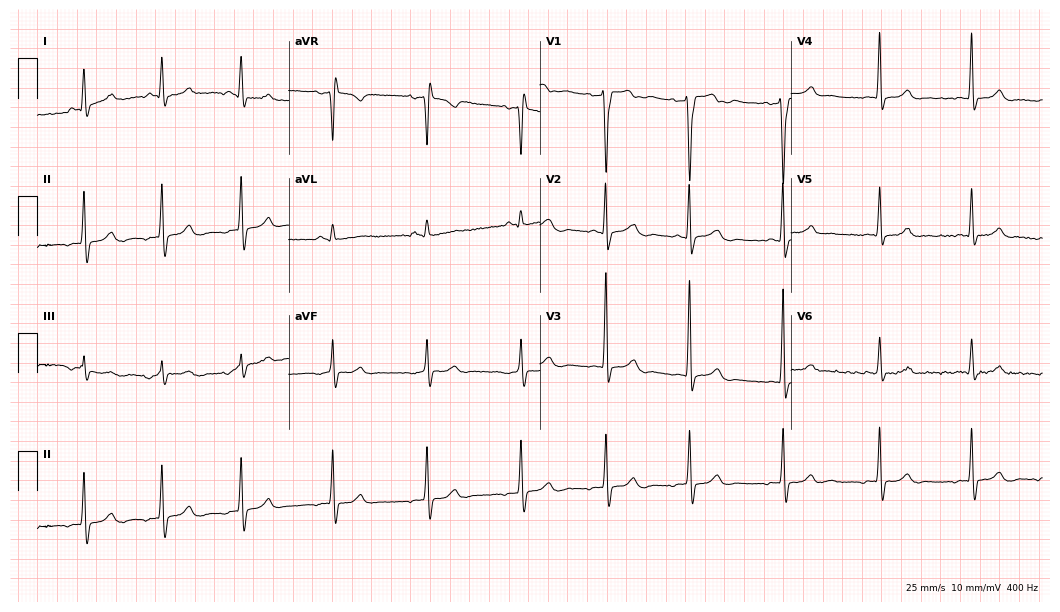
ECG — a 22-year-old woman. Screened for six findings — first-degree AV block, right bundle branch block (RBBB), left bundle branch block (LBBB), sinus bradycardia, atrial fibrillation (AF), sinus tachycardia — none is recorded.